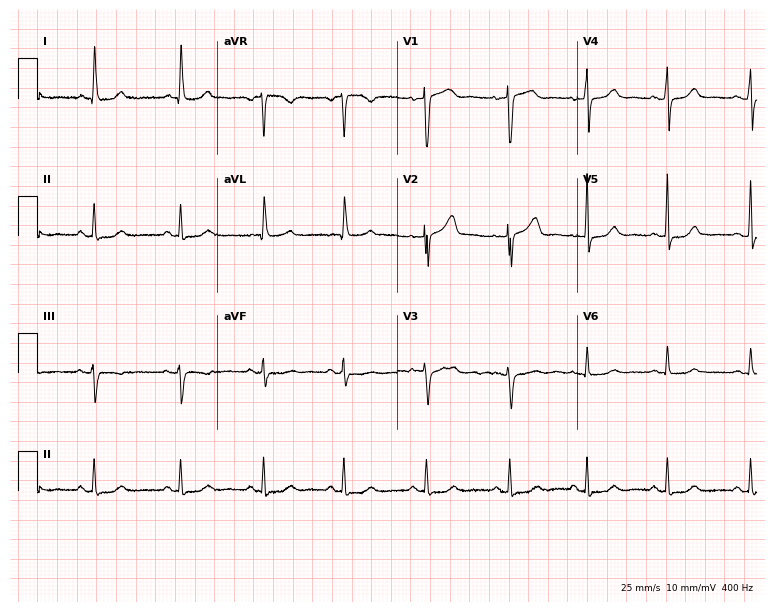
Electrocardiogram (7.3-second recording at 400 Hz), a woman, 71 years old. Of the six screened findings (first-degree AV block, right bundle branch block, left bundle branch block, sinus bradycardia, atrial fibrillation, sinus tachycardia), none is recorded. Findings outside these six are not listed.